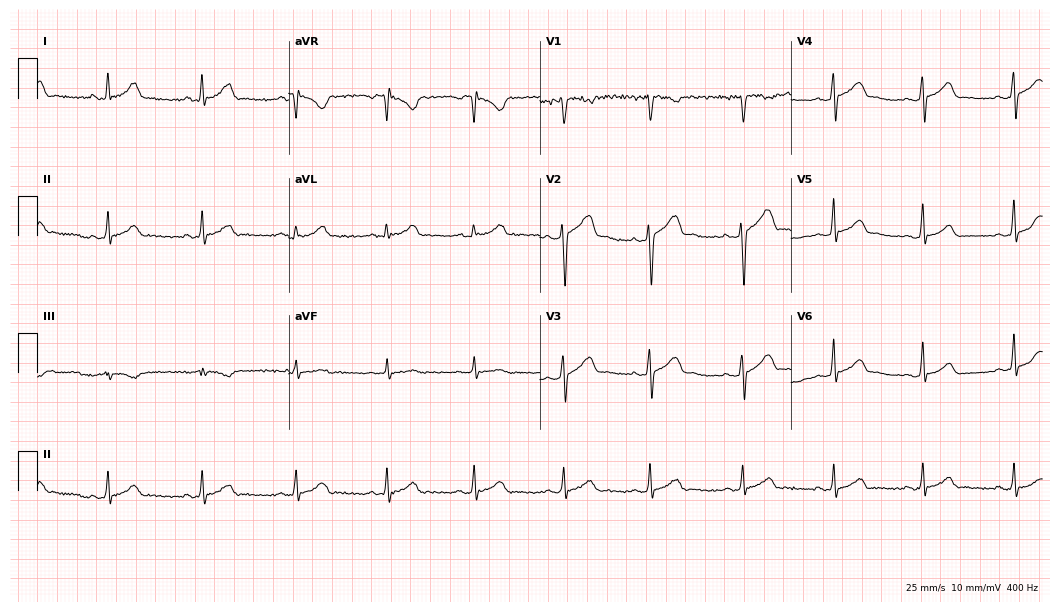
12-lead ECG from a man, 26 years old (10.2-second recording at 400 Hz). Recorded interpretation: within normal limits.